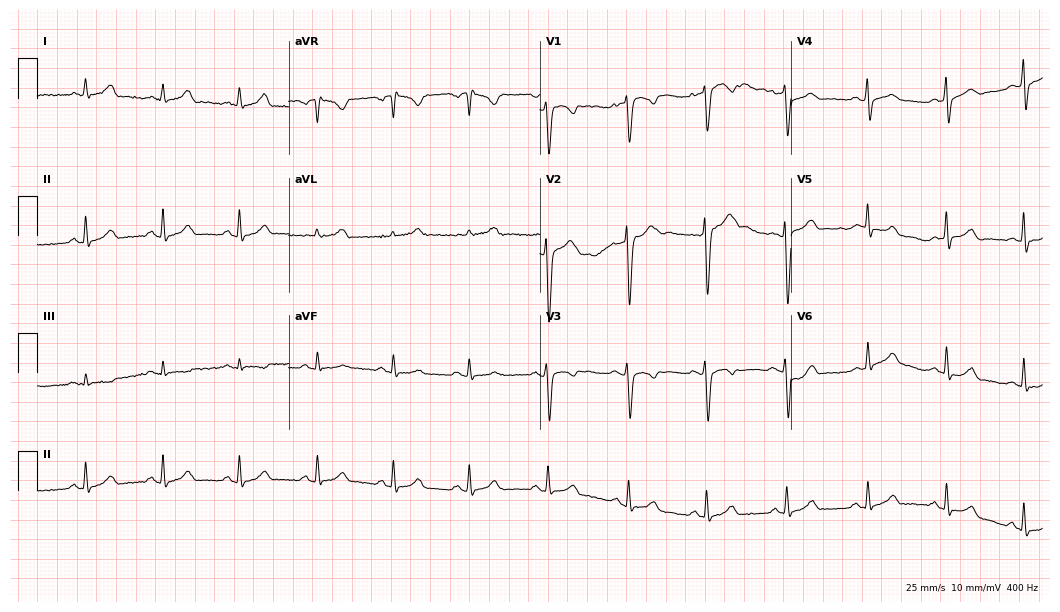
12-lead ECG (10.2-second recording at 400 Hz) from a woman, 23 years old. Labelled as a normal ECG.